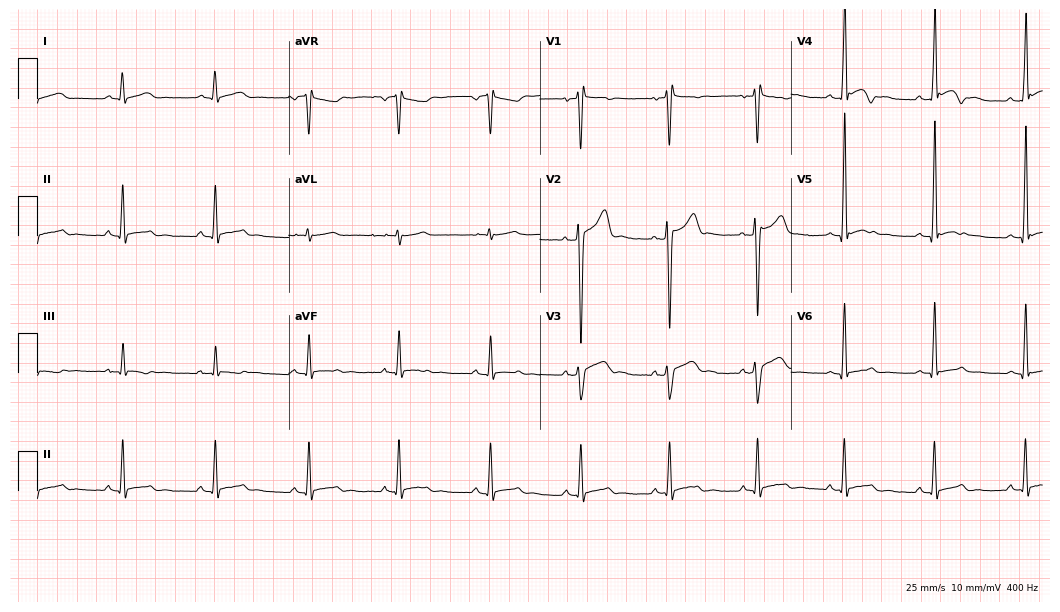
Electrocardiogram, a male patient, 18 years old. Of the six screened findings (first-degree AV block, right bundle branch block, left bundle branch block, sinus bradycardia, atrial fibrillation, sinus tachycardia), none is recorded.